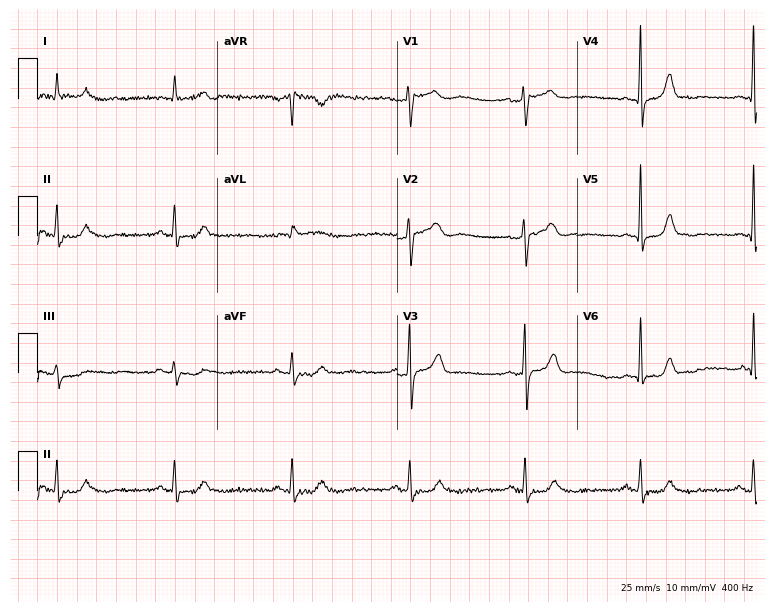
Resting 12-lead electrocardiogram (7.3-second recording at 400 Hz). Patient: a male, 71 years old. The tracing shows sinus bradycardia (a sinus rate of 50 beats per minute or less).